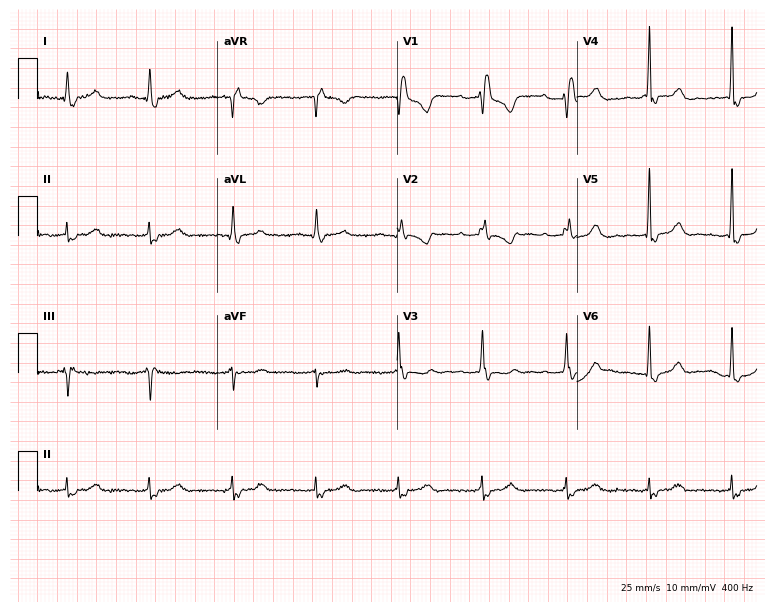
12-lead ECG from a 52-year-old female patient. Shows first-degree AV block, right bundle branch block (RBBB).